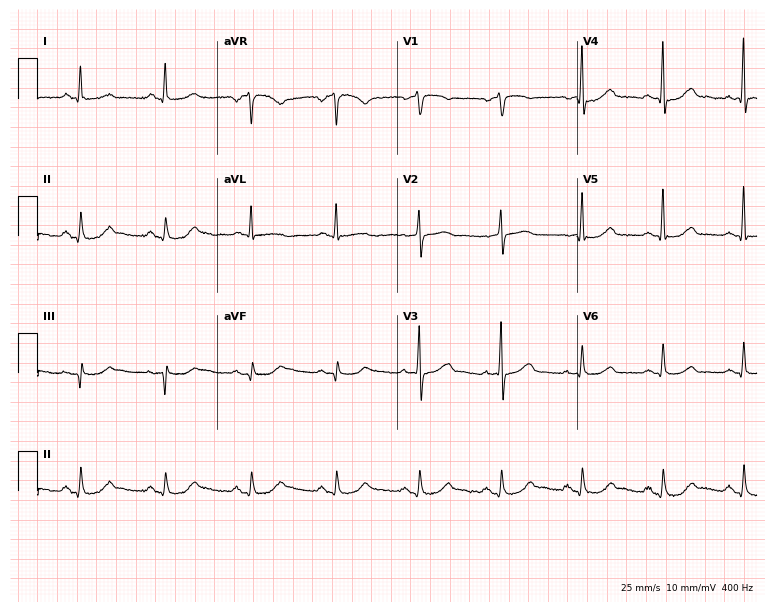
Electrocardiogram, a female patient, 61 years old. Of the six screened findings (first-degree AV block, right bundle branch block, left bundle branch block, sinus bradycardia, atrial fibrillation, sinus tachycardia), none is recorded. Other findings, if any, are not listed.